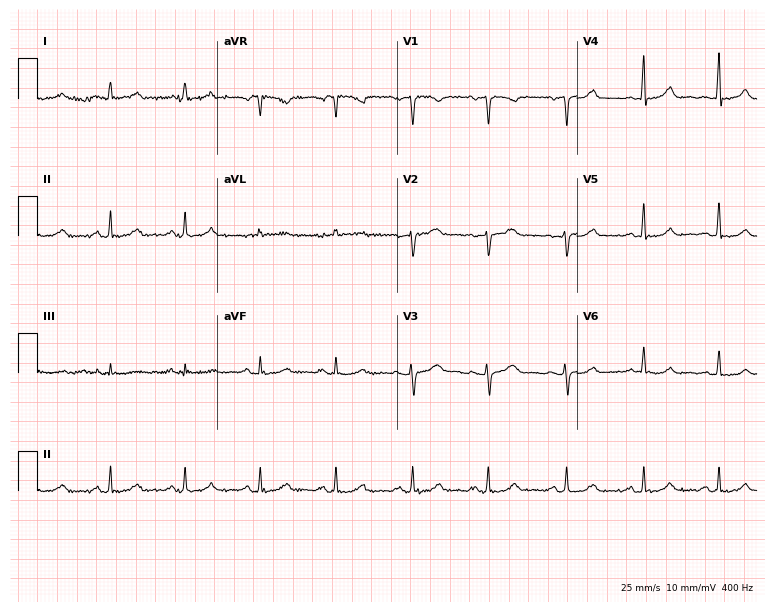
ECG — a female, 39 years old. Labelled as a normal ECG.